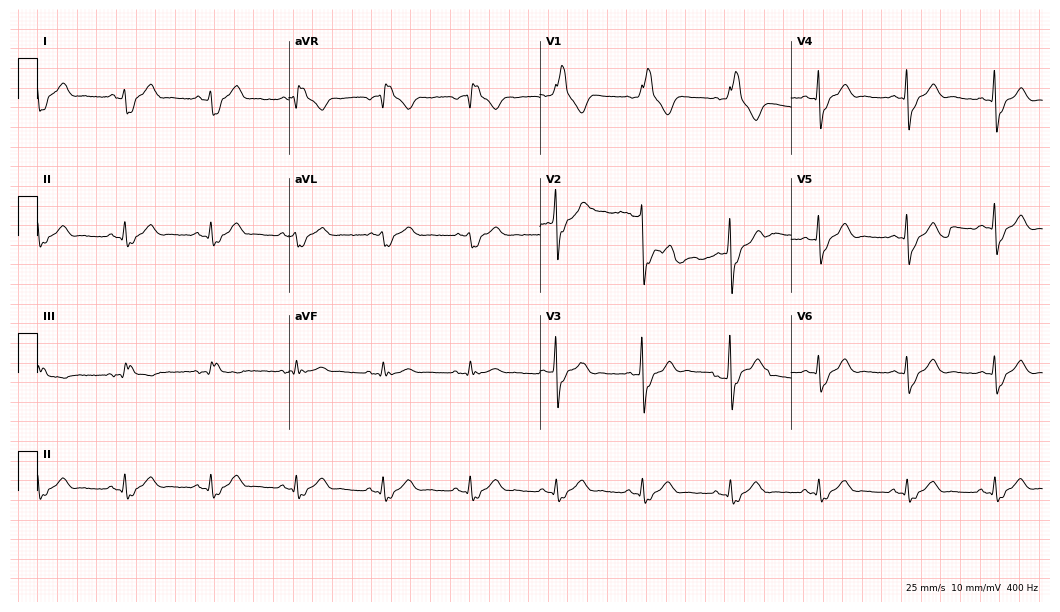
12-lead ECG from a male, 64 years old (10.2-second recording at 400 Hz). Shows right bundle branch block (RBBB).